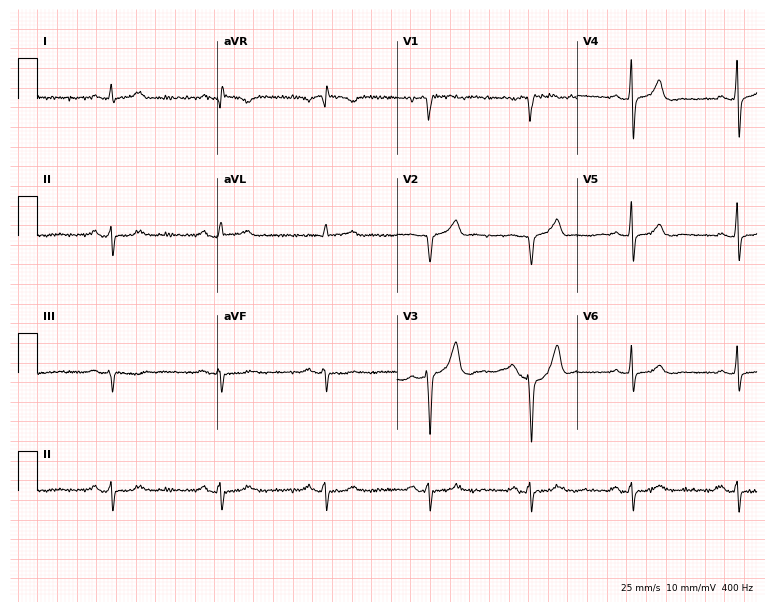
ECG (7.3-second recording at 400 Hz) — a 48-year-old male patient. Screened for six findings — first-degree AV block, right bundle branch block (RBBB), left bundle branch block (LBBB), sinus bradycardia, atrial fibrillation (AF), sinus tachycardia — none is recorded.